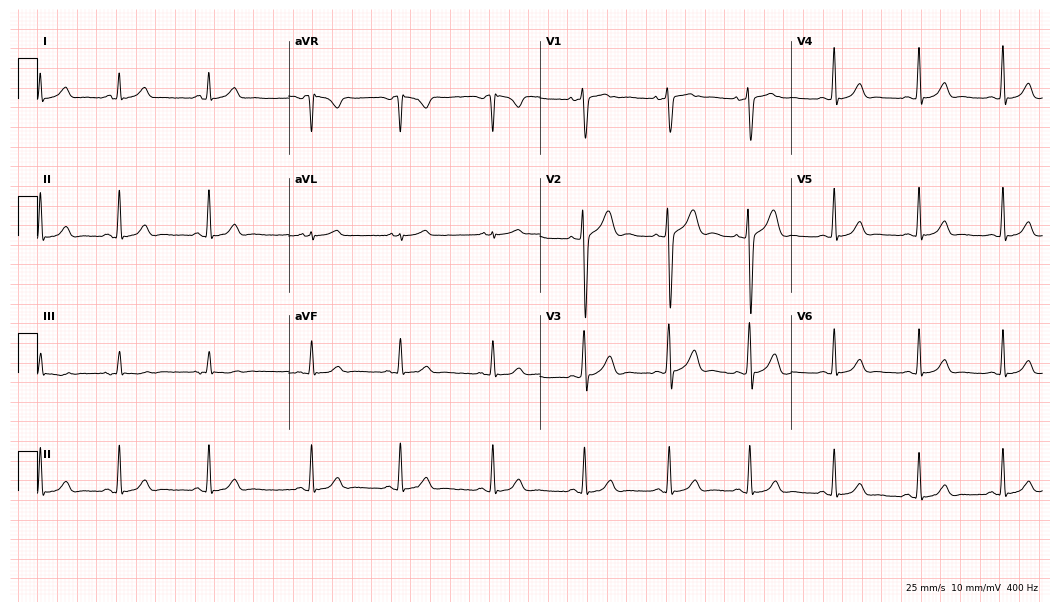
12-lead ECG from a 24-year-old woman. Labelled as a normal ECG.